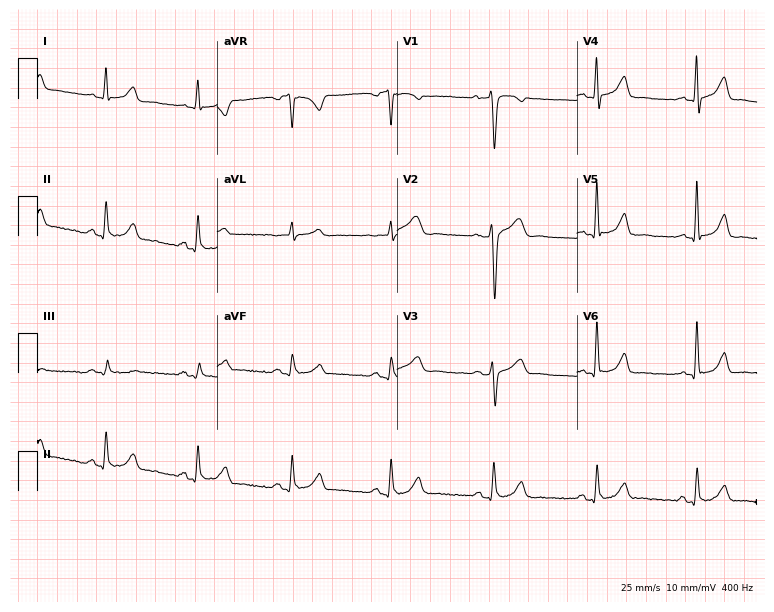
ECG (7.3-second recording at 400 Hz) — a 42-year-old man. Screened for six findings — first-degree AV block, right bundle branch block (RBBB), left bundle branch block (LBBB), sinus bradycardia, atrial fibrillation (AF), sinus tachycardia — none is recorded.